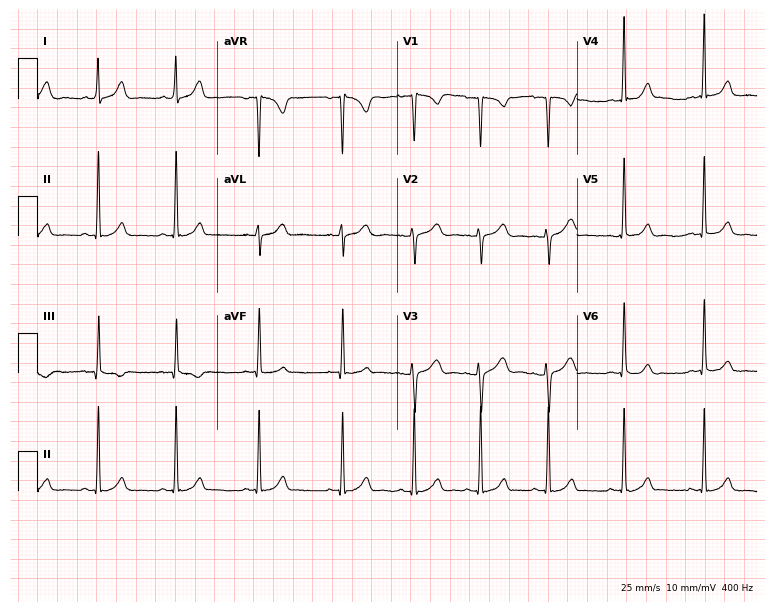
Resting 12-lead electrocardiogram. Patient: a female, 22 years old. Read as a normal ECG.